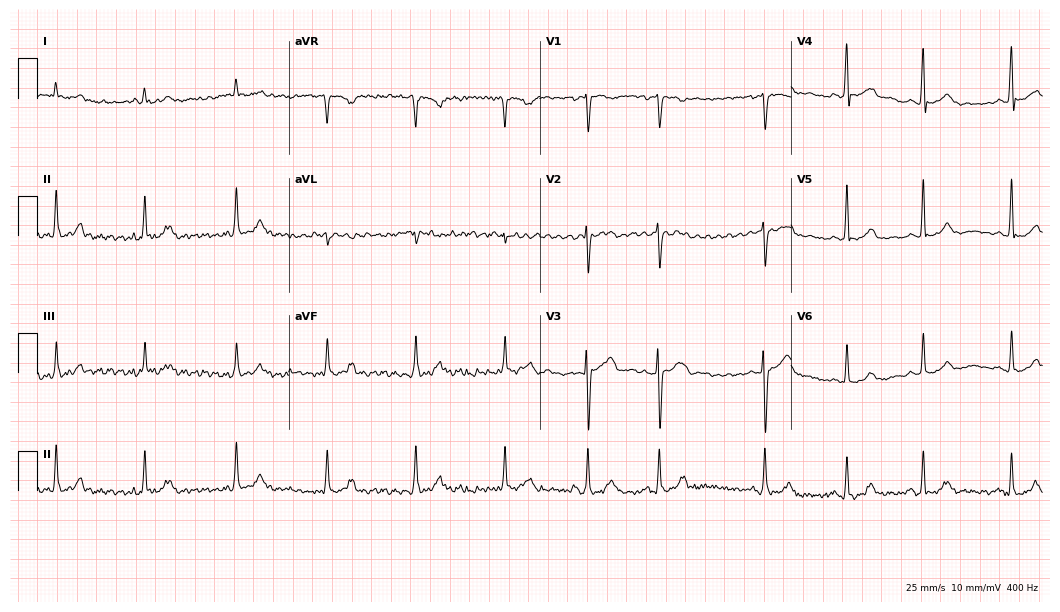
12-lead ECG (10.2-second recording at 400 Hz) from a 20-year-old male. Screened for six findings — first-degree AV block, right bundle branch block, left bundle branch block, sinus bradycardia, atrial fibrillation, sinus tachycardia — none is recorded. Findings outside these six are not listed.